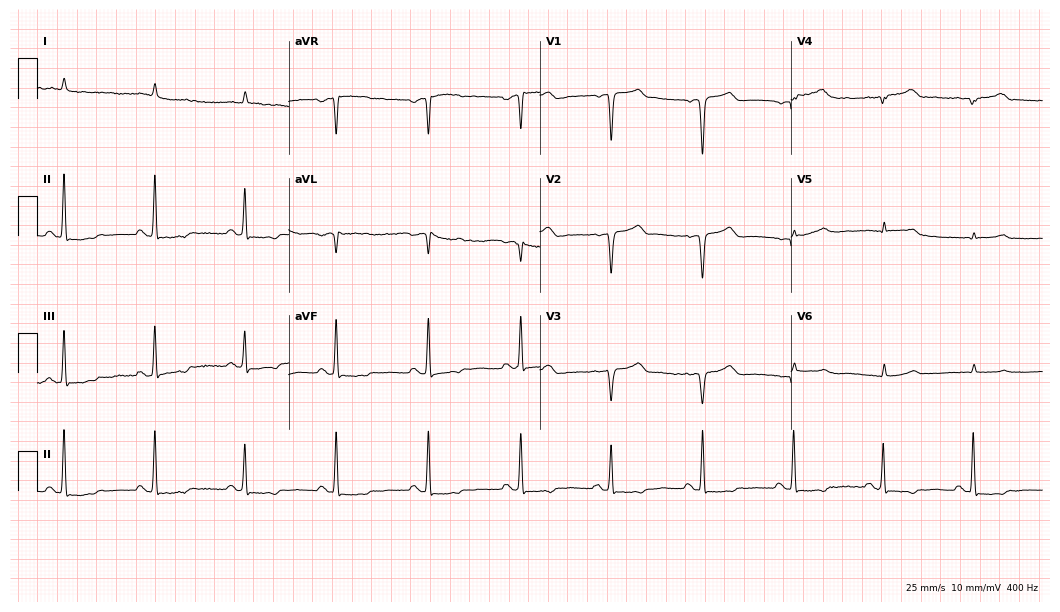
Standard 12-lead ECG recorded from a 75-year-old male (10.2-second recording at 400 Hz). None of these six findings is recorded: first-degree AV block, right bundle branch block (RBBB), left bundle branch block (LBBB), sinus bradycardia, atrial fibrillation (AF), sinus tachycardia.